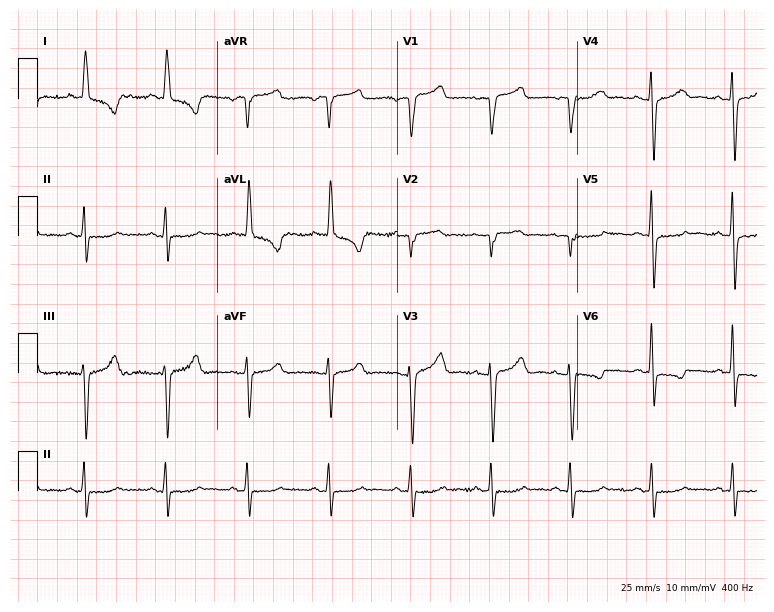
12-lead ECG from a female, 45 years old. Labelled as a normal ECG.